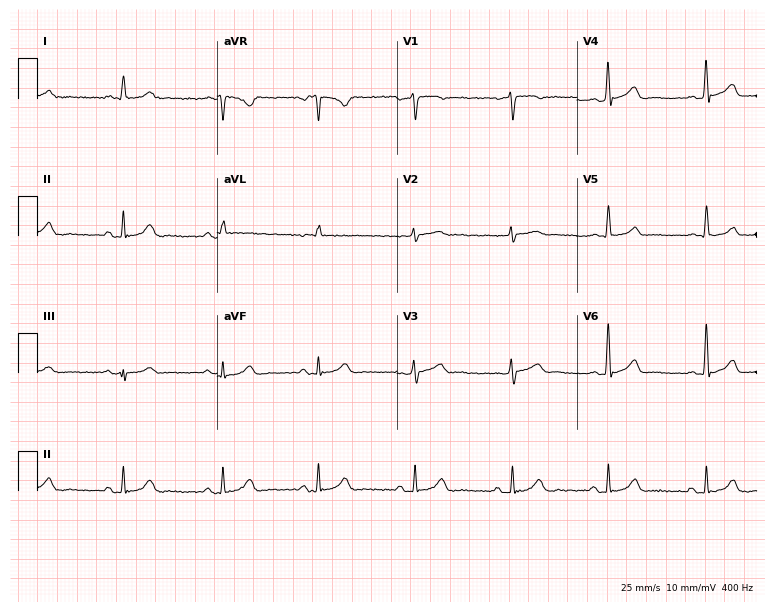
Electrocardiogram, a male, 66 years old. Of the six screened findings (first-degree AV block, right bundle branch block, left bundle branch block, sinus bradycardia, atrial fibrillation, sinus tachycardia), none is recorded.